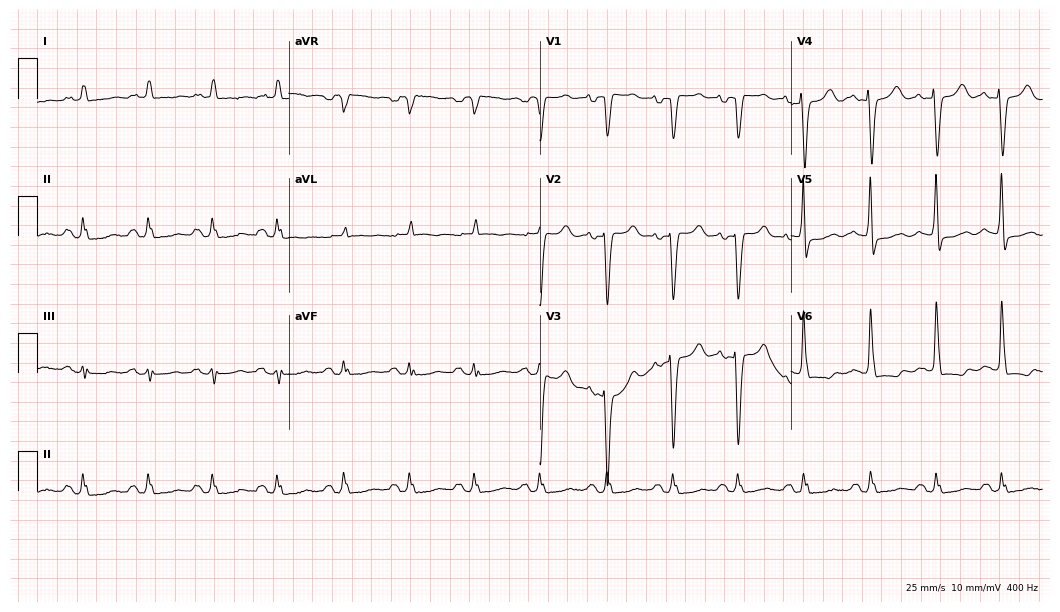
Standard 12-lead ECG recorded from a 67-year-old female (10.2-second recording at 400 Hz). None of these six findings is recorded: first-degree AV block, right bundle branch block, left bundle branch block, sinus bradycardia, atrial fibrillation, sinus tachycardia.